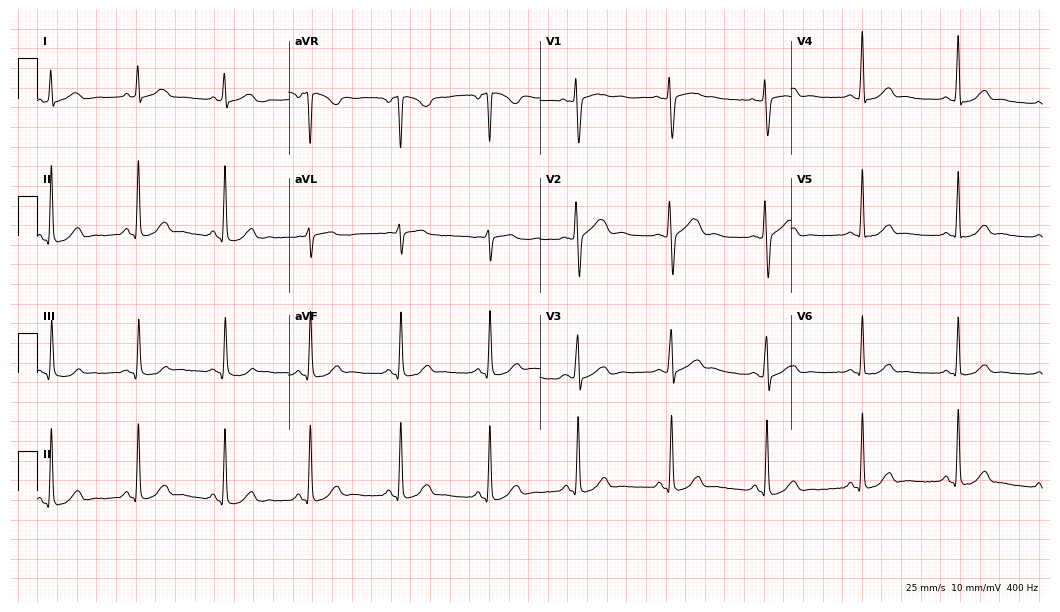
Resting 12-lead electrocardiogram (10.2-second recording at 400 Hz). Patient: a female, 28 years old. Read as a normal ECG.